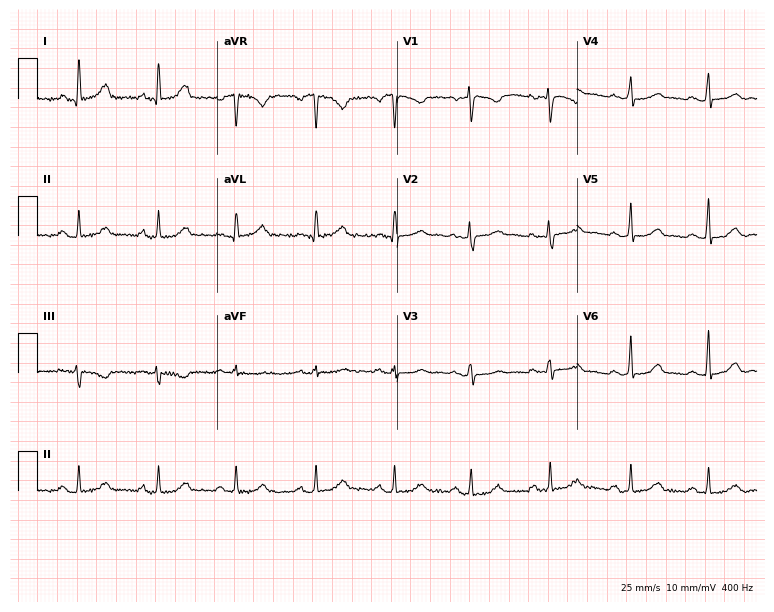
12-lead ECG (7.3-second recording at 400 Hz) from a female patient, 46 years old. Screened for six findings — first-degree AV block, right bundle branch block, left bundle branch block, sinus bradycardia, atrial fibrillation, sinus tachycardia — none is recorded.